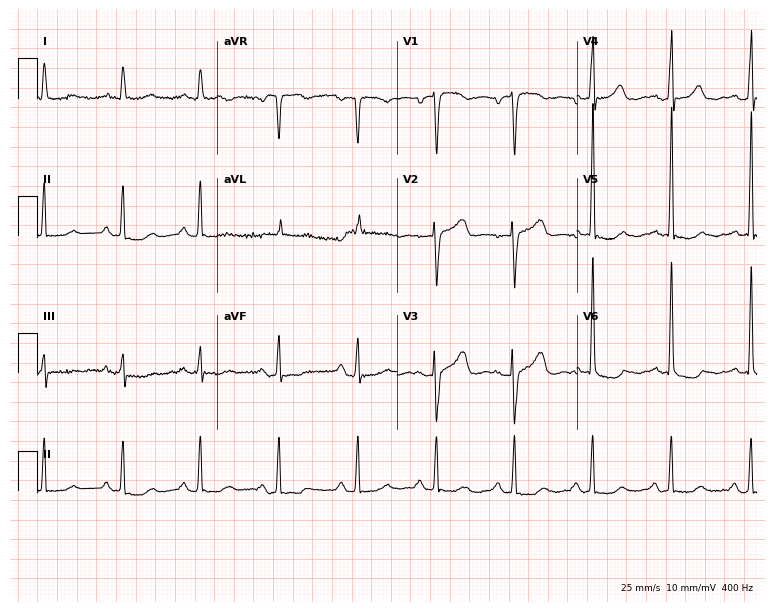
12-lead ECG from a female, 81 years old. No first-degree AV block, right bundle branch block, left bundle branch block, sinus bradycardia, atrial fibrillation or sinus tachycardia recorded for this tracing.